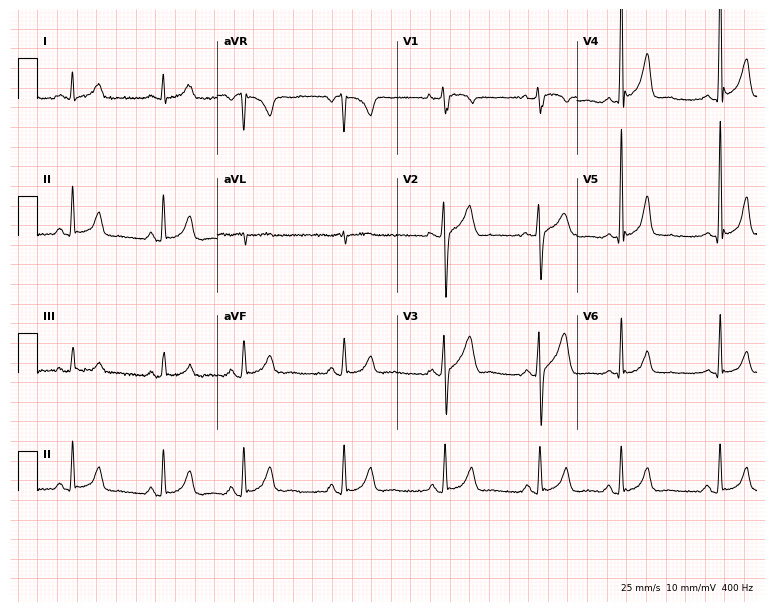
ECG — a 19-year-old male. Labelled as a normal ECG.